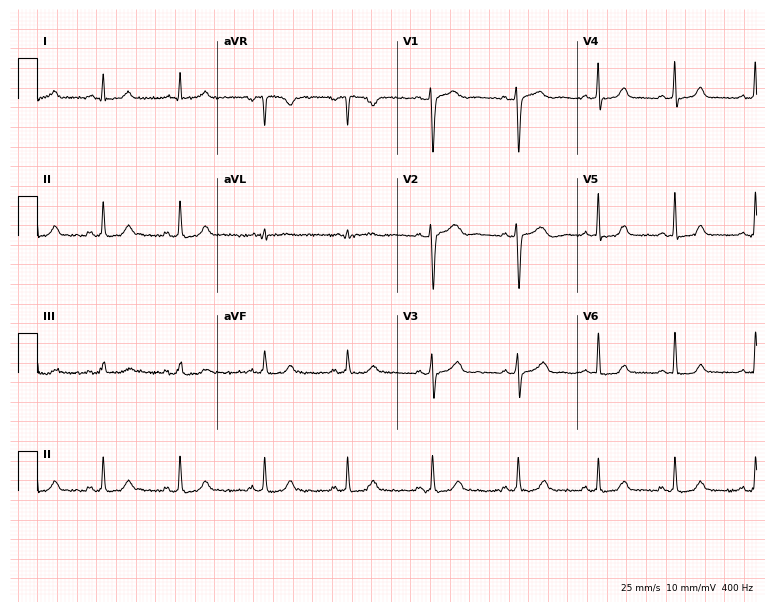
12-lead ECG from a 37-year-old woman. Screened for six findings — first-degree AV block, right bundle branch block, left bundle branch block, sinus bradycardia, atrial fibrillation, sinus tachycardia — none is recorded.